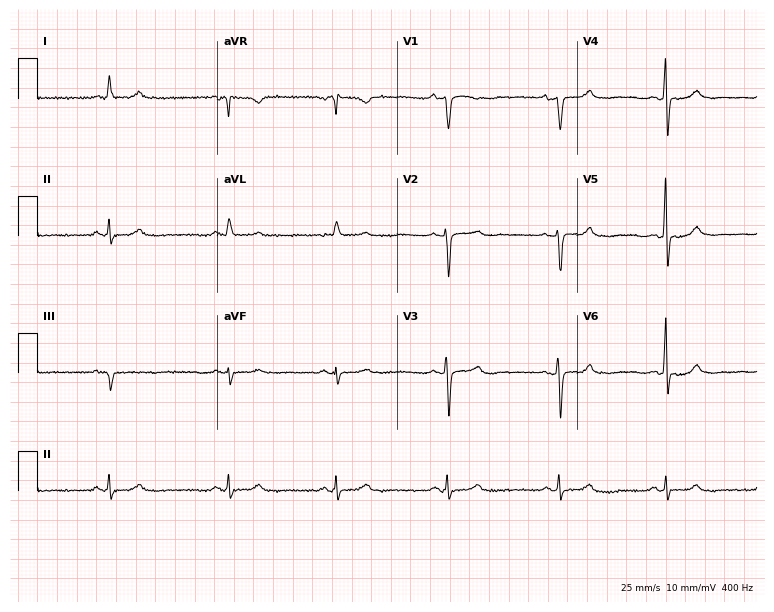
12-lead ECG (7.3-second recording at 400 Hz) from a 65-year-old female. Labelled as a normal ECG.